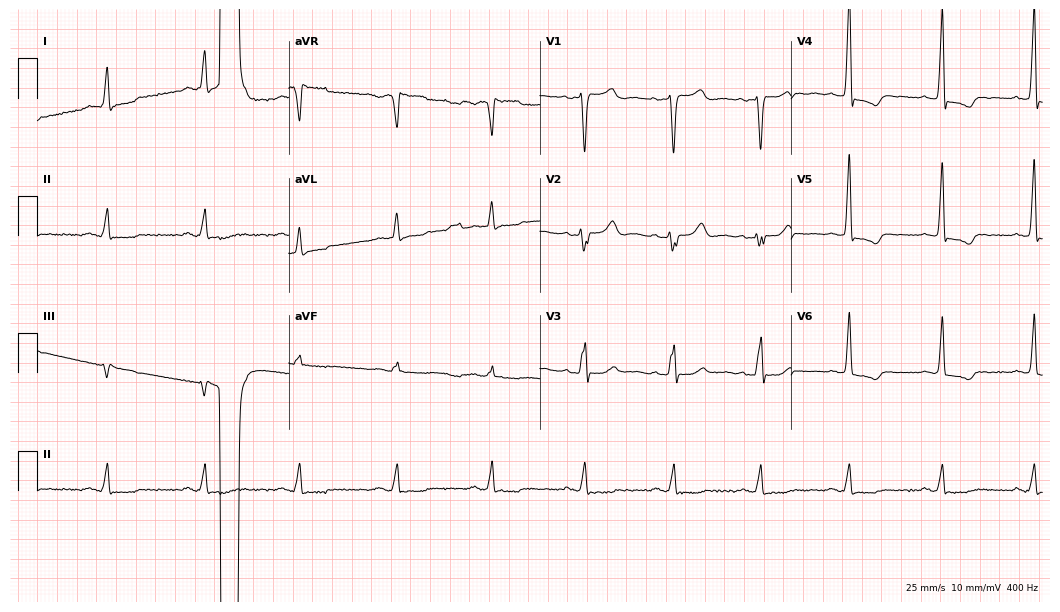
Electrocardiogram, a 45-year-old female patient. Of the six screened findings (first-degree AV block, right bundle branch block, left bundle branch block, sinus bradycardia, atrial fibrillation, sinus tachycardia), none is recorded. Findings outside these six are not listed.